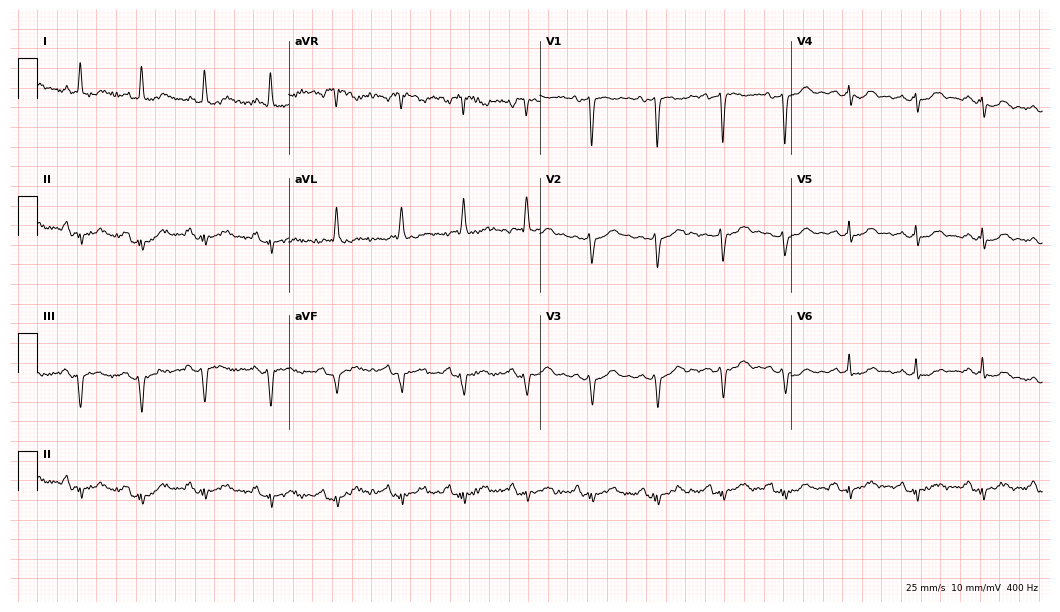
Electrocardiogram (10.2-second recording at 400 Hz), a 73-year-old female patient. Of the six screened findings (first-degree AV block, right bundle branch block, left bundle branch block, sinus bradycardia, atrial fibrillation, sinus tachycardia), none is recorded.